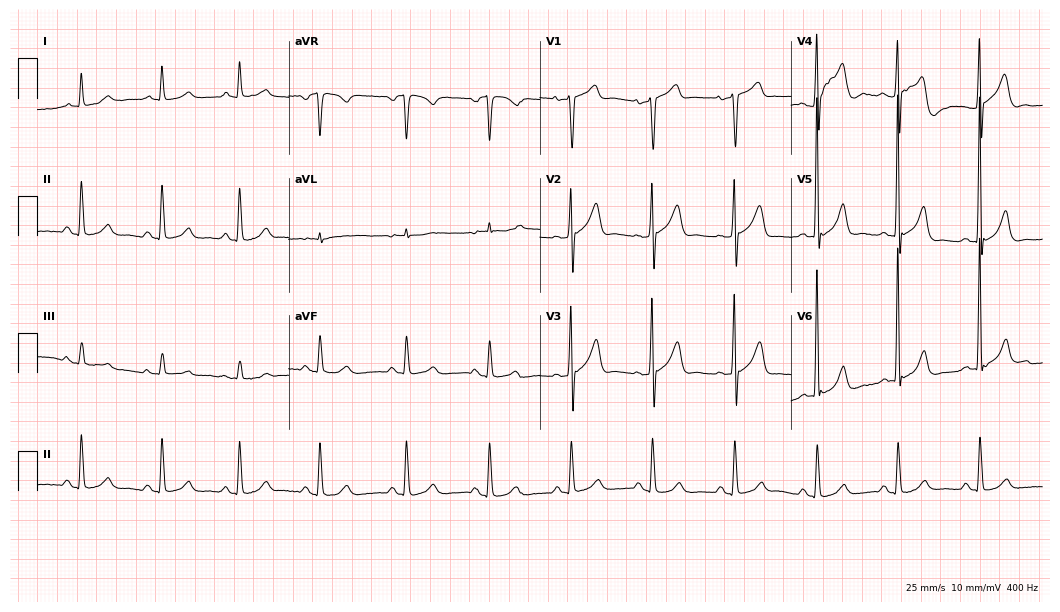
ECG (10.2-second recording at 400 Hz) — a male, 79 years old. Labelled as a normal ECG.